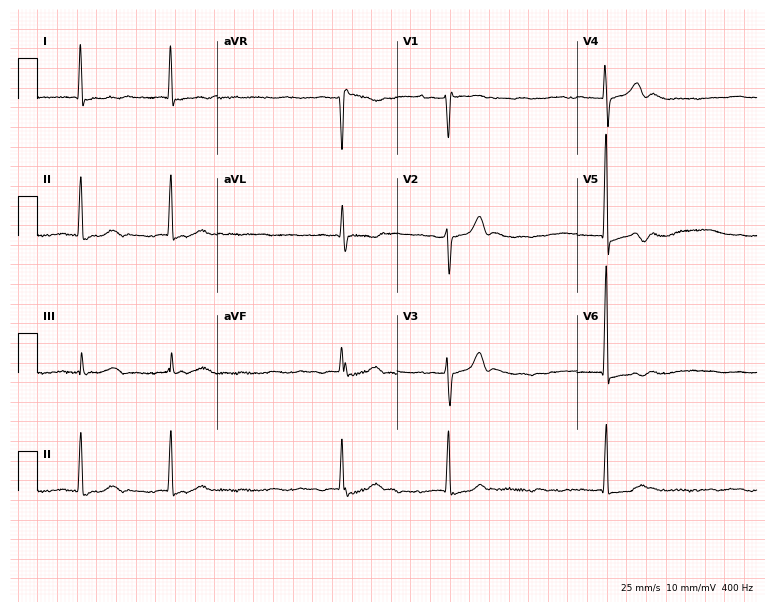
ECG (7.3-second recording at 400 Hz) — a female patient, 83 years old. Findings include atrial fibrillation.